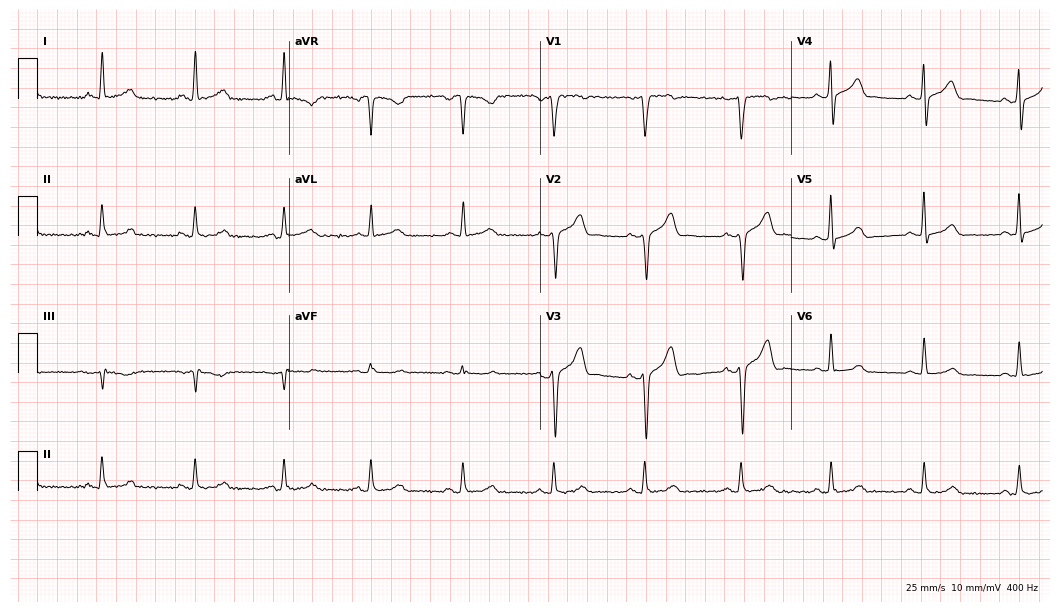
Standard 12-lead ECG recorded from a 47-year-old male. Read as a normal ECG.